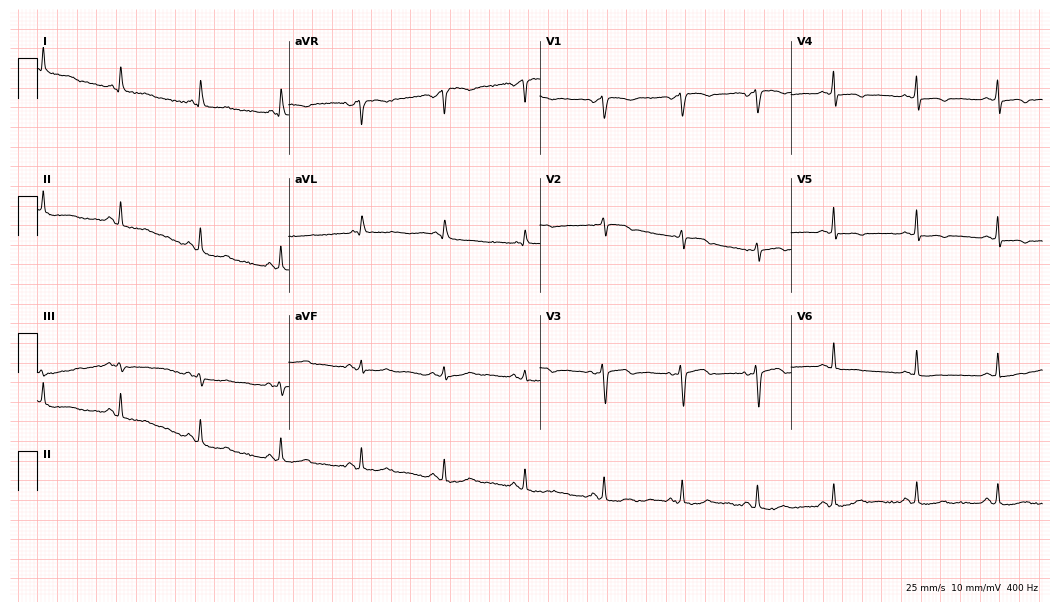
12-lead ECG from a female patient, 75 years old. No first-degree AV block, right bundle branch block (RBBB), left bundle branch block (LBBB), sinus bradycardia, atrial fibrillation (AF) or sinus tachycardia recorded for this tracing.